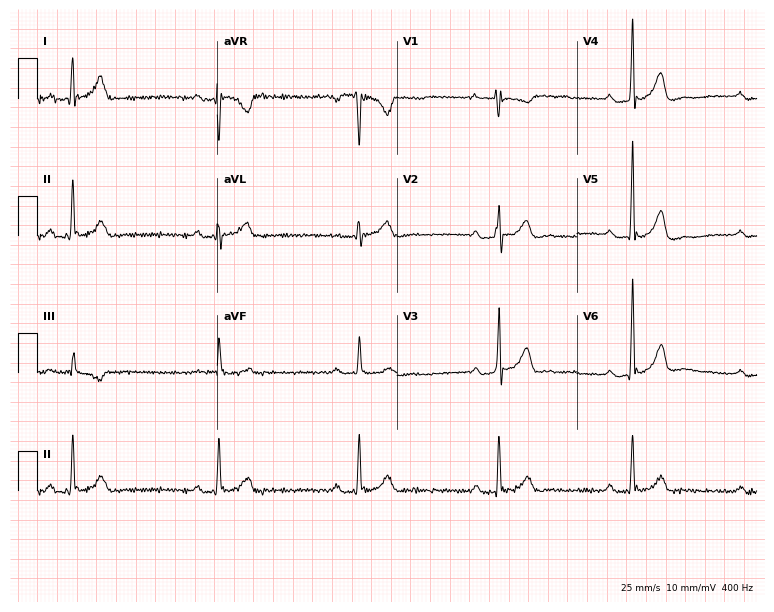
Resting 12-lead electrocardiogram (7.3-second recording at 400 Hz). Patient: a man, 38 years old. The tracing shows first-degree AV block, sinus bradycardia (a sinus rate of 50 beats per minute or less).